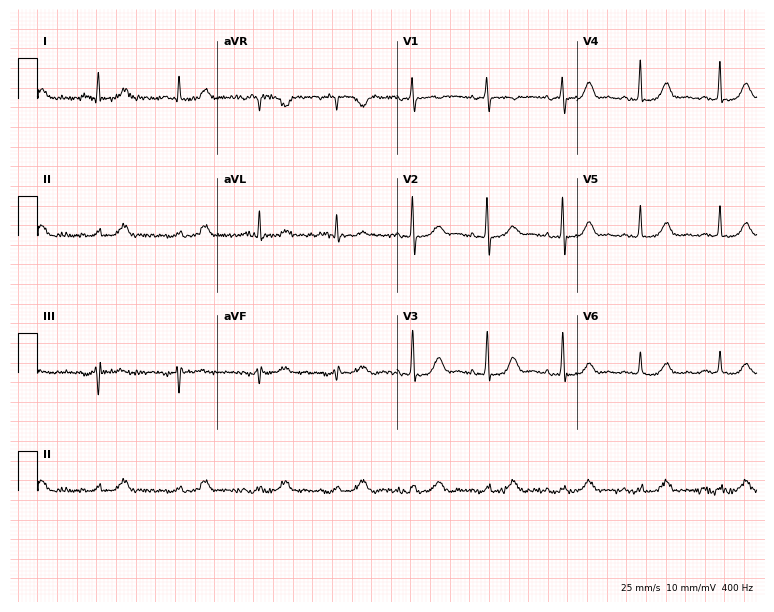
ECG (7.3-second recording at 400 Hz) — a 70-year-old female patient. Labelled as a normal ECG.